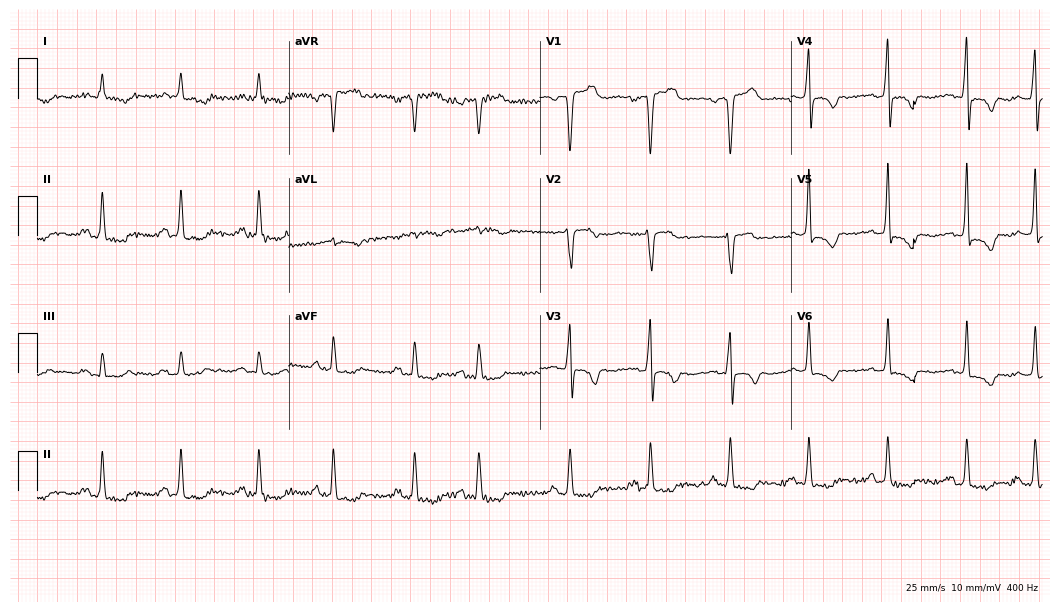
12-lead ECG from a 78-year-old male patient. No first-degree AV block, right bundle branch block, left bundle branch block, sinus bradycardia, atrial fibrillation or sinus tachycardia recorded for this tracing. Findings outside these six are not listed.